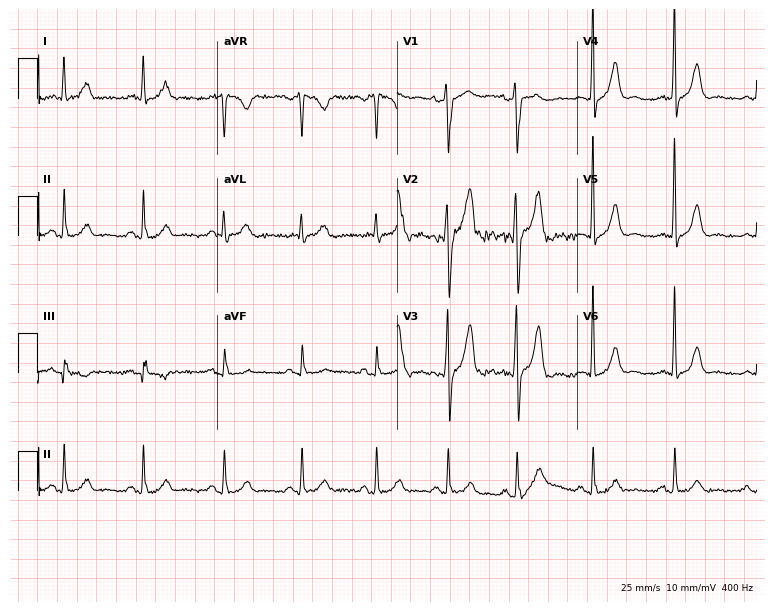
12-lead ECG (7.3-second recording at 400 Hz) from a 57-year-old male patient. Labelled as a normal ECG.